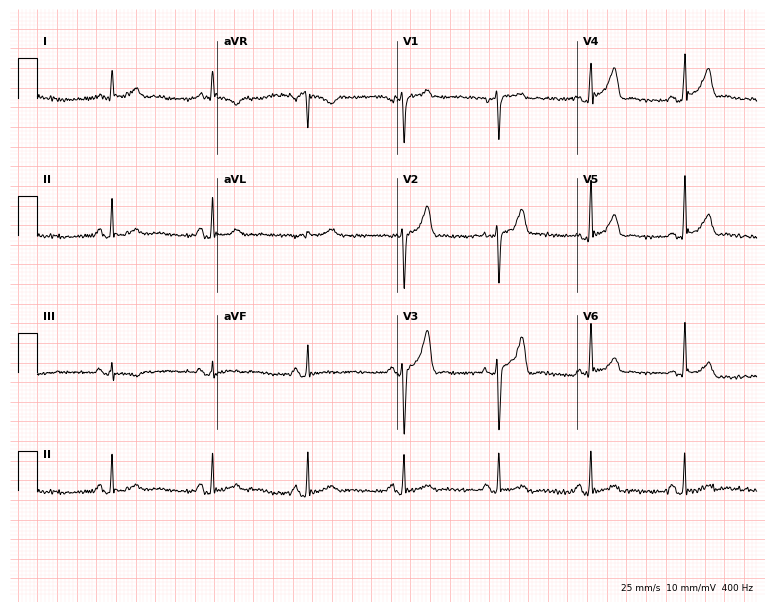
Resting 12-lead electrocardiogram. Patient: a male, 40 years old. None of these six findings is recorded: first-degree AV block, right bundle branch block, left bundle branch block, sinus bradycardia, atrial fibrillation, sinus tachycardia.